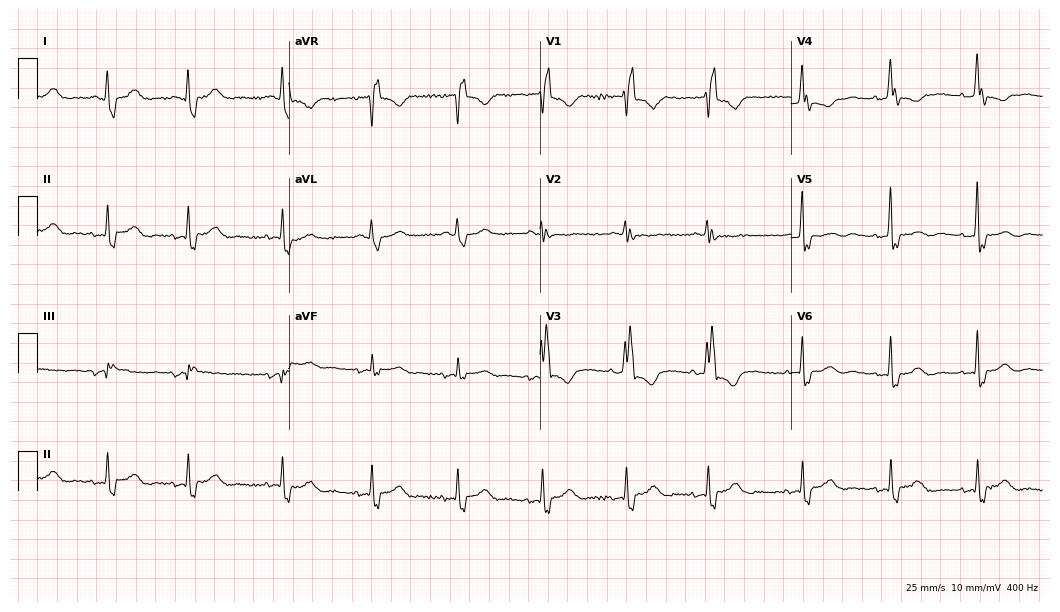
ECG (10.2-second recording at 400 Hz) — a 70-year-old female. Findings include right bundle branch block.